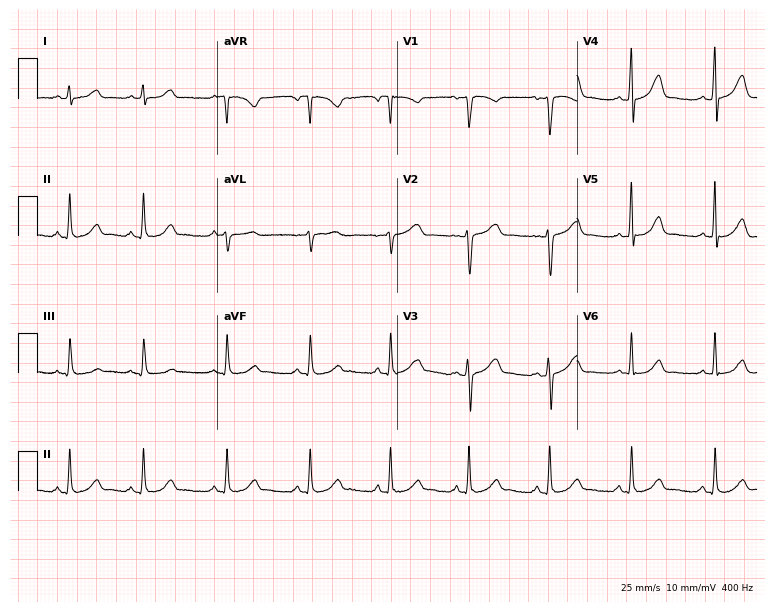
Electrocardiogram (7.3-second recording at 400 Hz), a 30-year-old female patient. Overall reading on record: normal ECG.